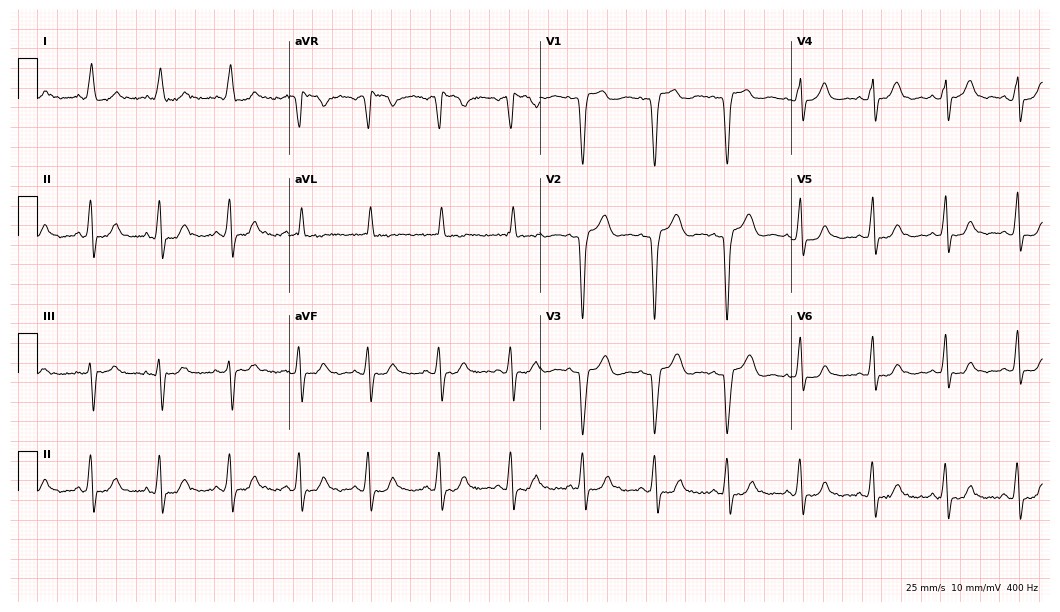
Standard 12-lead ECG recorded from a 51-year-old woman (10.2-second recording at 400 Hz). None of these six findings is recorded: first-degree AV block, right bundle branch block, left bundle branch block, sinus bradycardia, atrial fibrillation, sinus tachycardia. Other findings, if any, are not listed.